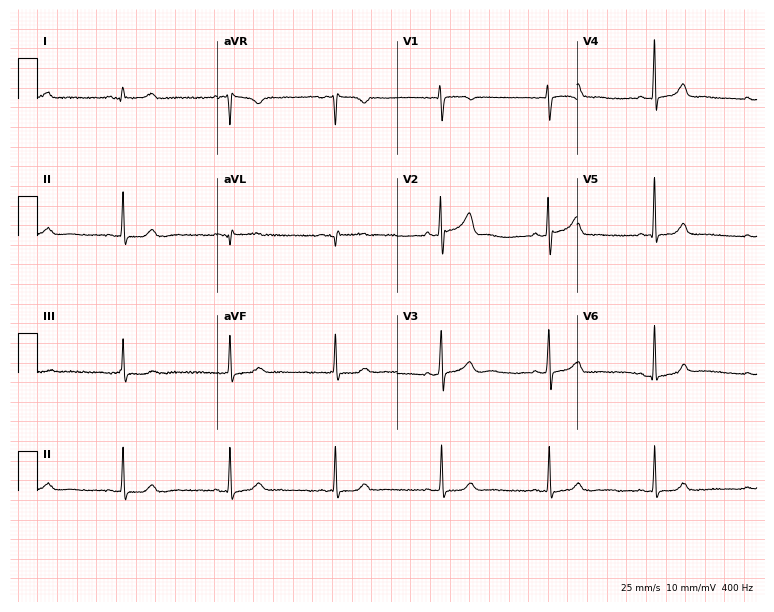
Electrocardiogram (7.3-second recording at 400 Hz), a female patient, 47 years old. Overall reading on record: normal ECG.